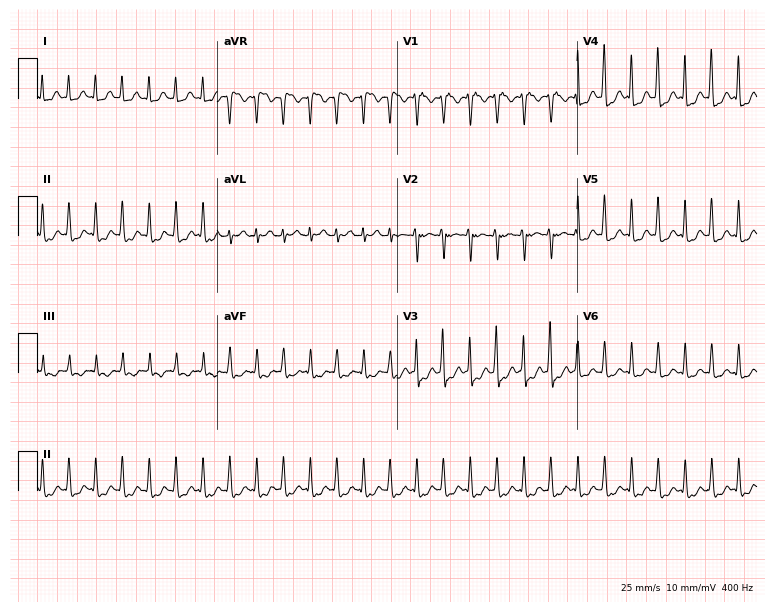
12-lead ECG from a female, 29 years old. Shows sinus tachycardia (a sinus rate of 100 beats per minute or more).